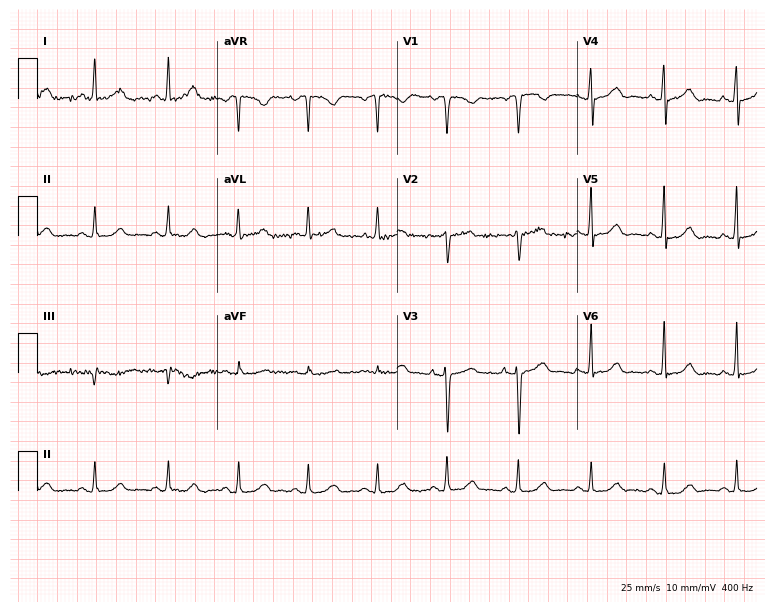
Standard 12-lead ECG recorded from a female patient, 73 years old. None of these six findings is recorded: first-degree AV block, right bundle branch block, left bundle branch block, sinus bradycardia, atrial fibrillation, sinus tachycardia.